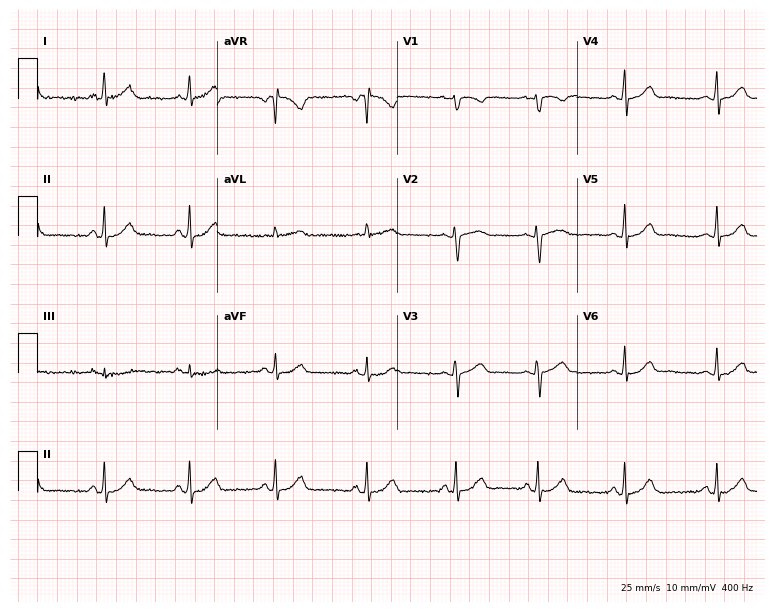
Resting 12-lead electrocardiogram. Patient: a 50-year-old female. Read as a normal ECG.